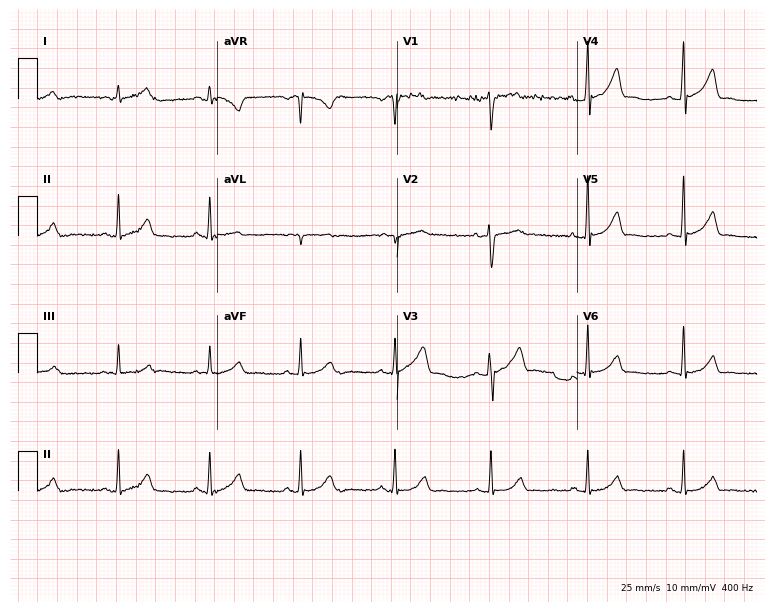
Standard 12-lead ECG recorded from a 38-year-old male. Read as a normal ECG.